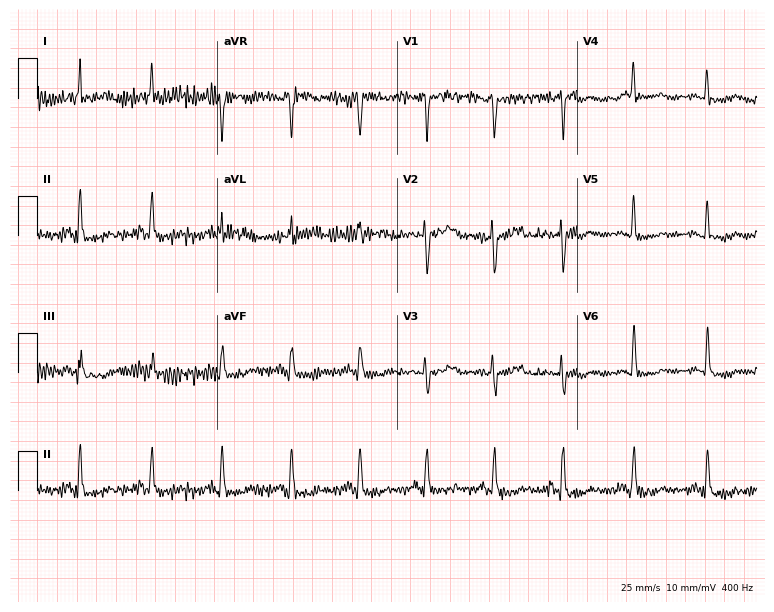
ECG — a female patient, 46 years old. Screened for six findings — first-degree AV block, right bundle branch block, left bundle branch block, sinus bradycardia, atrial fibrillation, sinus tachycardia — none is recorded. Other findings, if any, are not listed.